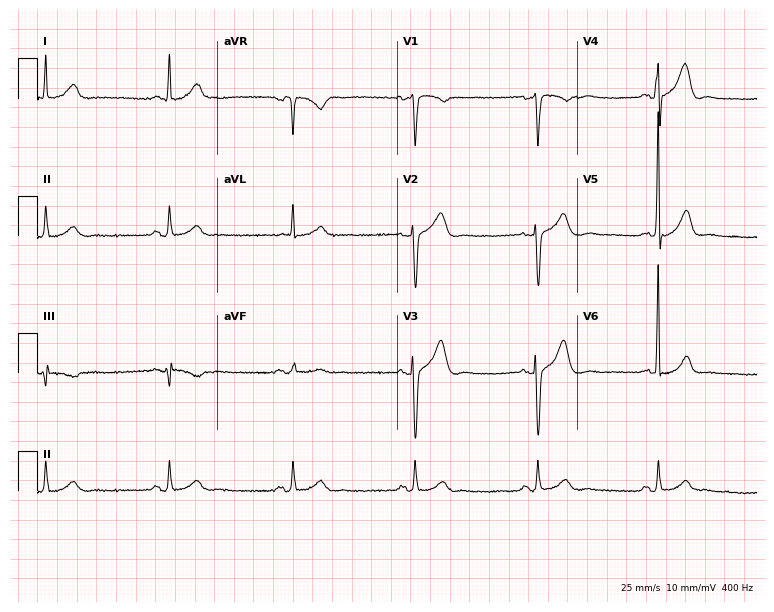
Resting 12-lead electrocardiogram. Patient: a 79-year-old male. None of these six findings is recorded: first-degree AV block, right bundle branch block, left bundle branch block, sinus bradycardia, atrial fibrillation, sinus tachycardia.